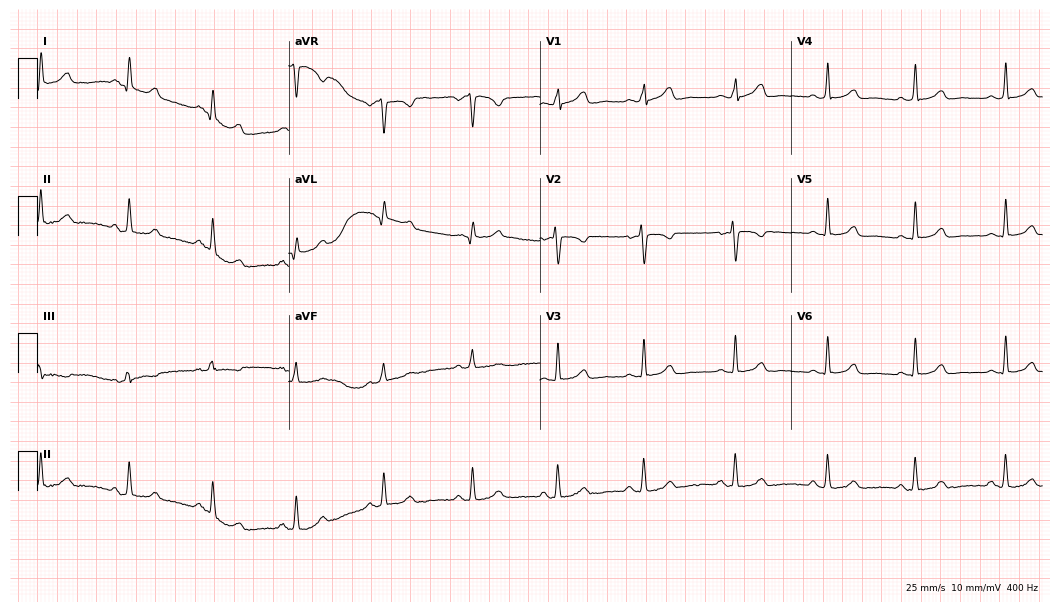
Resting 12-lead electrocardiogram (10.2-second recording at 400 Hz). Patient: a female, 21 years old. Read as a normal ECG.